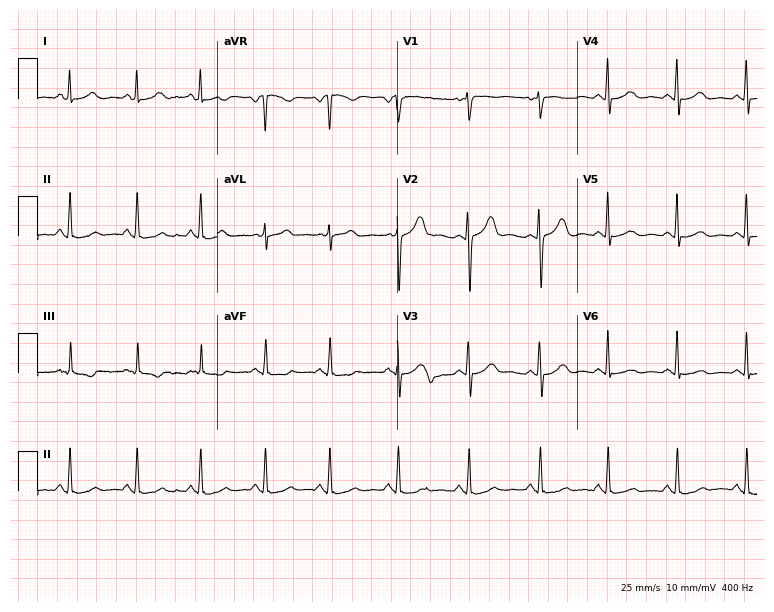
12-lead ECG from a female, 30 years old. Recorded interpretation: within normal limits.